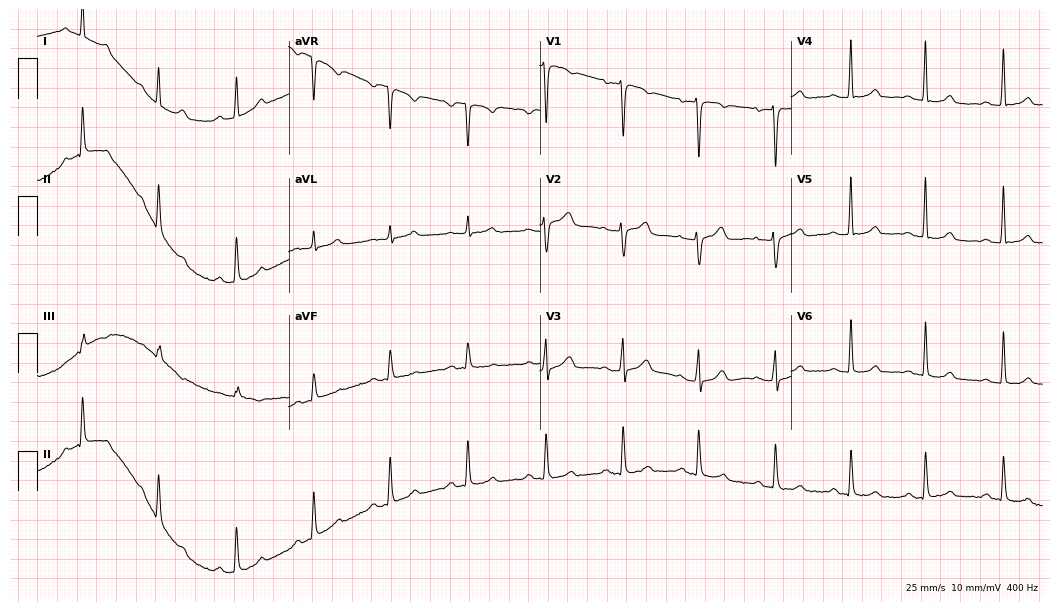
Resting 12-lead electrocardiogram. Patient: a female, 45 years old. None of these six findings is recorded: first-degree AV block, right bundle branch block, left bundle branch block, sinus bradycardia, atrial fibrillation, sinus tachycardia. Only these six findings were labelled.